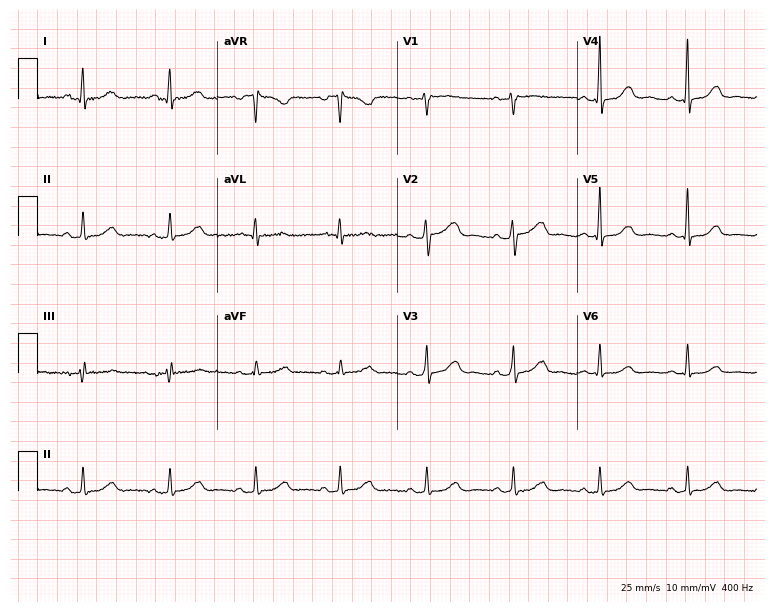
Electrocardiogram (7.3-second recording at 400 Hz), a 58-year-old female patient. Overall reading on record: normal ECG.